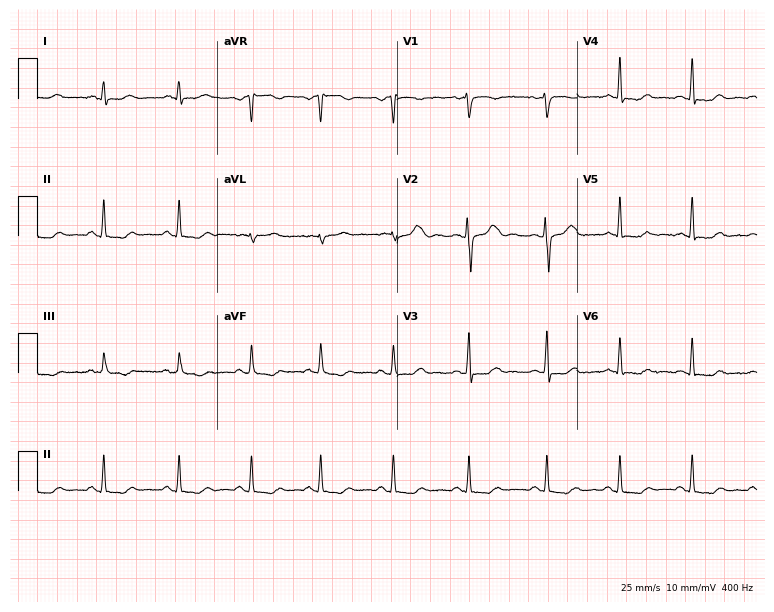
12-lead ECG (7.3-second recording at 400 Hz) from a 37-year-old female. Screened for six findings — first-degree AV block, right bundle branch block, left bundle branch block, sinus bradycardia, atrial fibrillation, sinus tachycardia — none is recorded. Only these six findings were labelled.